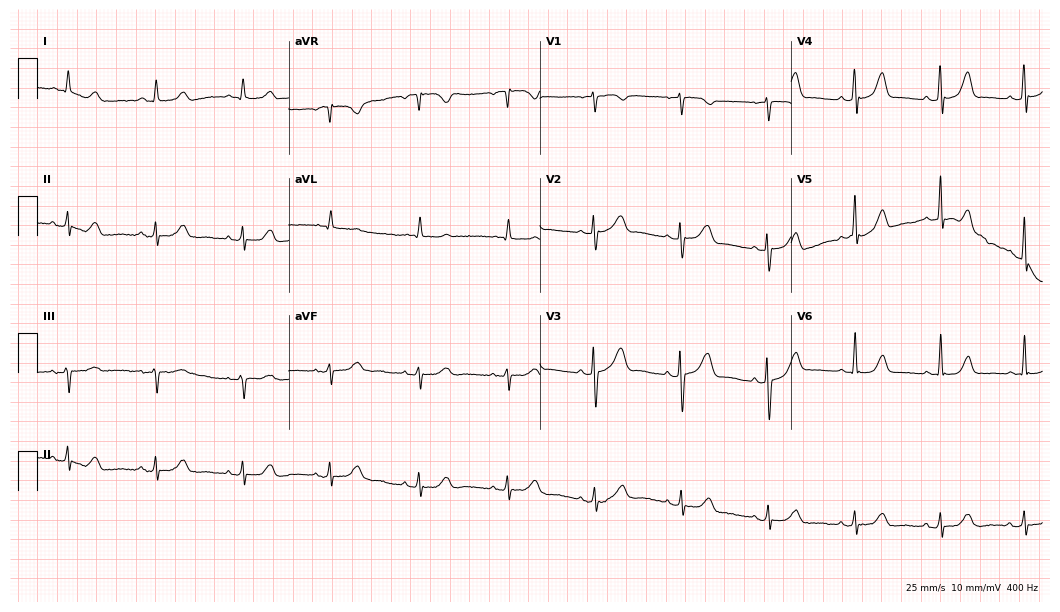
Electrocardiogram (10.2-second recording at 400 Hz), a 63-year-old female. Of the six screened findings (first-degree AV block, right bundle branch block, left bundle branch block, sinus bradycardia, atrial fibrillation, sinus tachycardia), none is recorded. Other findings, if any, are not listed.